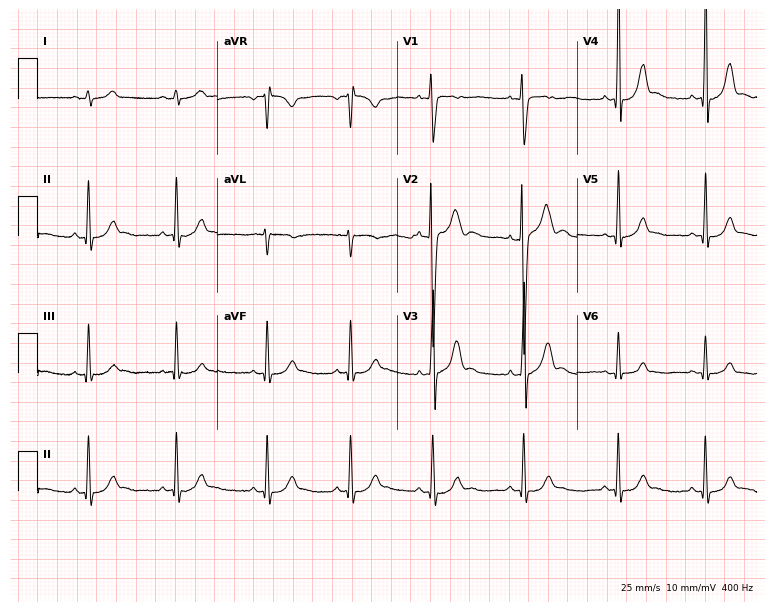
12-lead ECG (7.3-second recording at 400 Hz) from a male, 19 years old. Screened for six findings — first-degree AV block, right bundle branch block, left bundle branch block, sinus bradycardia, atrial fibrillation, sinus tachycardia — none is recorded. Other findings, if any, are not listed.